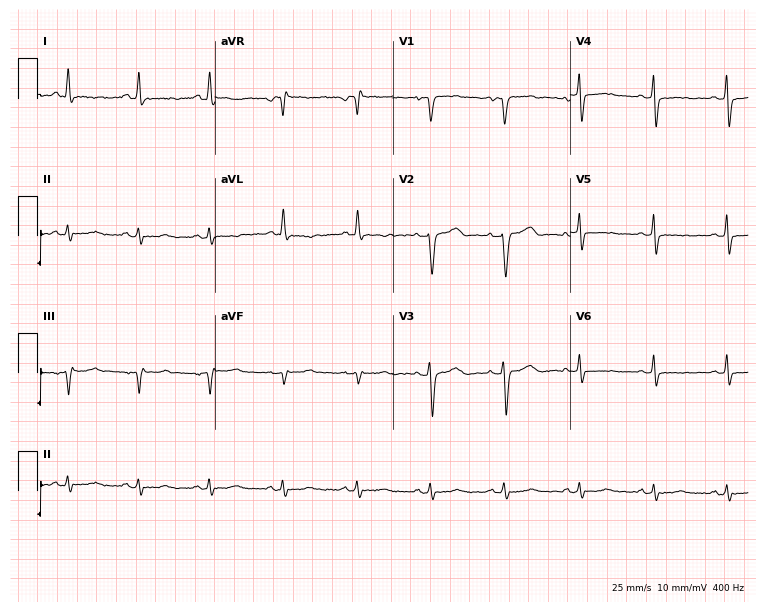
Resting 12-lead electrocardiogram (7.2-second recording at 400 Hz). Patient: a female, 39 years old. Read as a normal ECG.